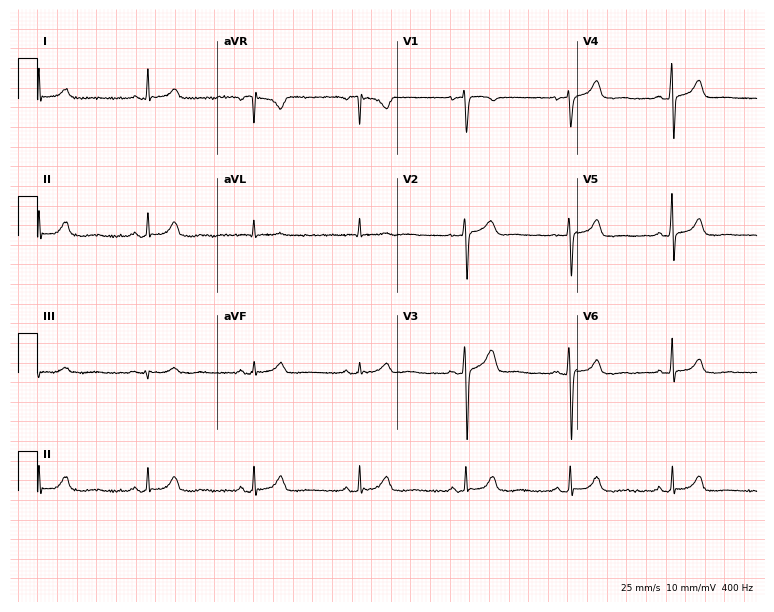
ECG — a 47-year-old female patient. Labelled as a normal ECG.